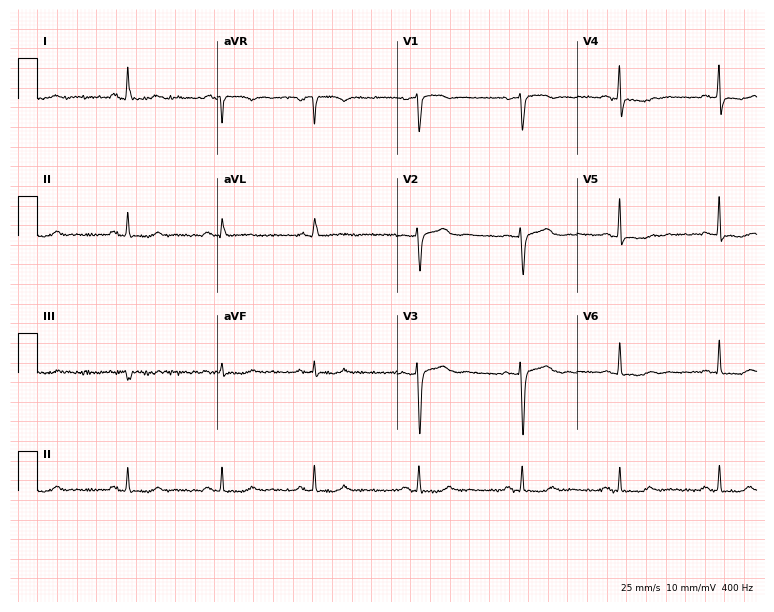
Resting 12-lead electrocardiogram. Patient: a 50-year-old female. None of these six findings is recorded: first-degree AV block, right bundle branch block, left bundle branch block, sinus bradycardia, atrial fibrillation, sinus tachycardia. Findings outside these six are not listed.